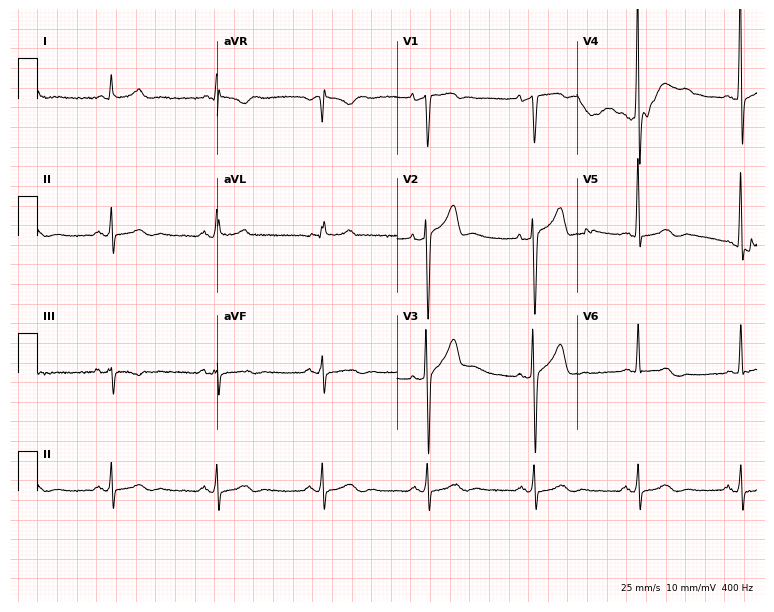
ECG (7.3-second recording at 400 Hz) — a male, 62 years old. Screened for six findings — first-degree AV block, right bundle branch block, left bundle branch block, sinus bradycardia, atrial fibrillation, sinus tachycardia — none is recorded.